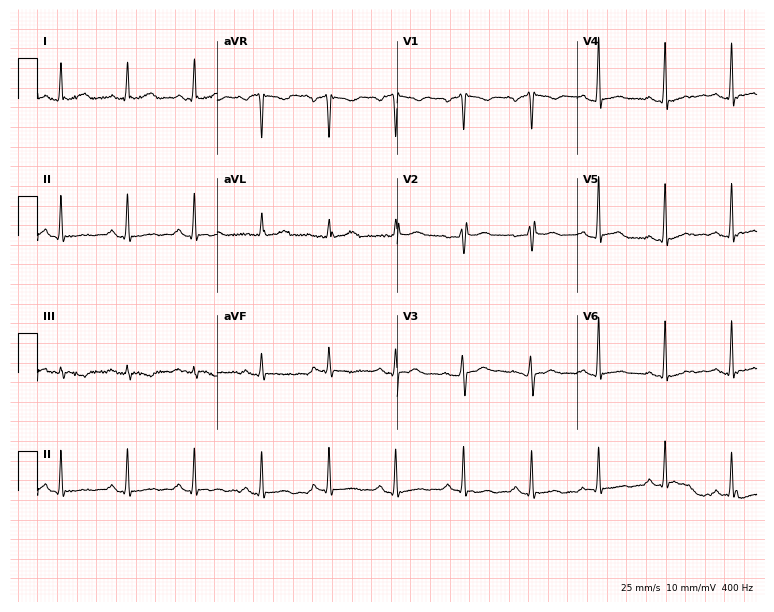
12-lead ECG from a 39-year-old female (7.3-second recording at 400 Hz). No first-degree AV block, right bundle branch block, left bundle branch block, sinus bradycardia, atrial fibrillation or sinus tachycardia recorded for this tracing.